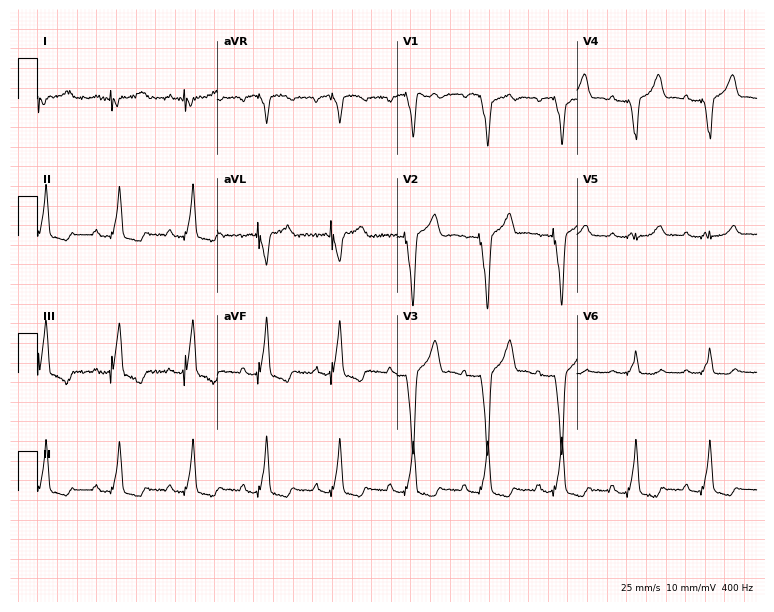
12-lead ECG from a male, 82 years old (7.3-second recording at 400 Hz). Shows left bundle branch block (LBBB).